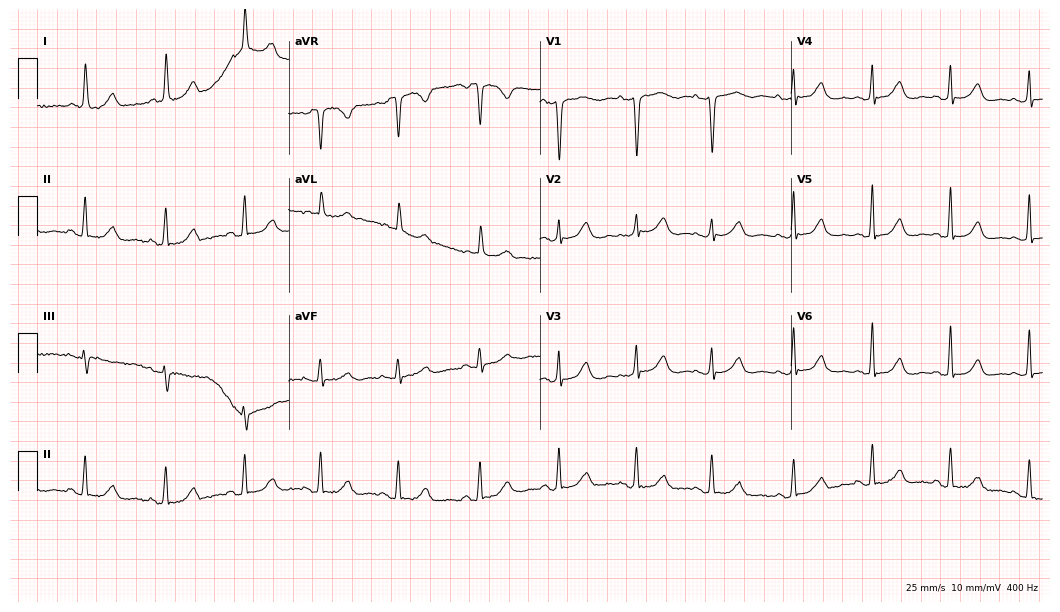
Resting 12-lead electrocardiogram (10.2-second recording at 400 Hz). Patient: a female, 72 years old. None of these six findings is recorded: first-degree AV block, right bundle branch block (RBBB), left bundle branch block (LBBB), sinus bradycardia, atrial fibrillation (AF), sinus tachycardia.